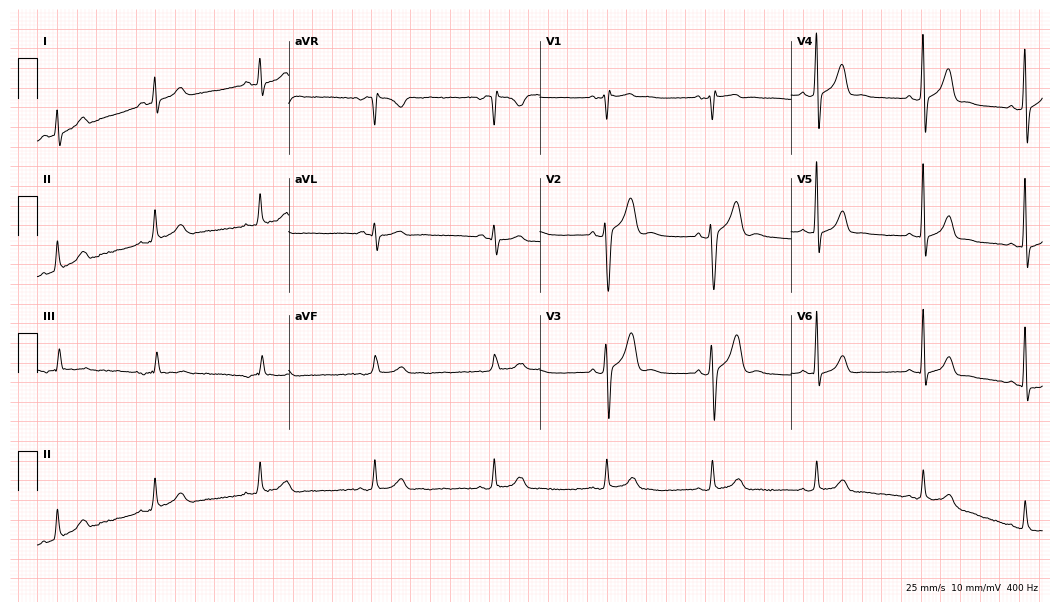
12-lead ECG from a male, 33 years old (10.2-second recording at 400 Hz). Recorded interpretation: within normal limits.